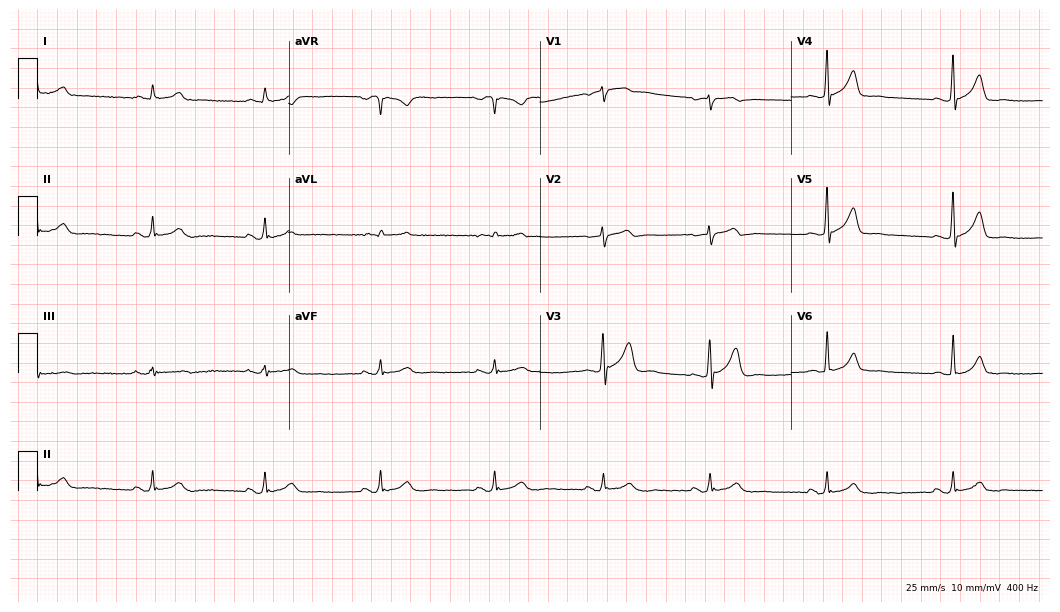
Resting 12-lead electrocardiogram (10.2-second recording at 400 Hz). Patient: a 51-year-old male. Read as a normal ECG.